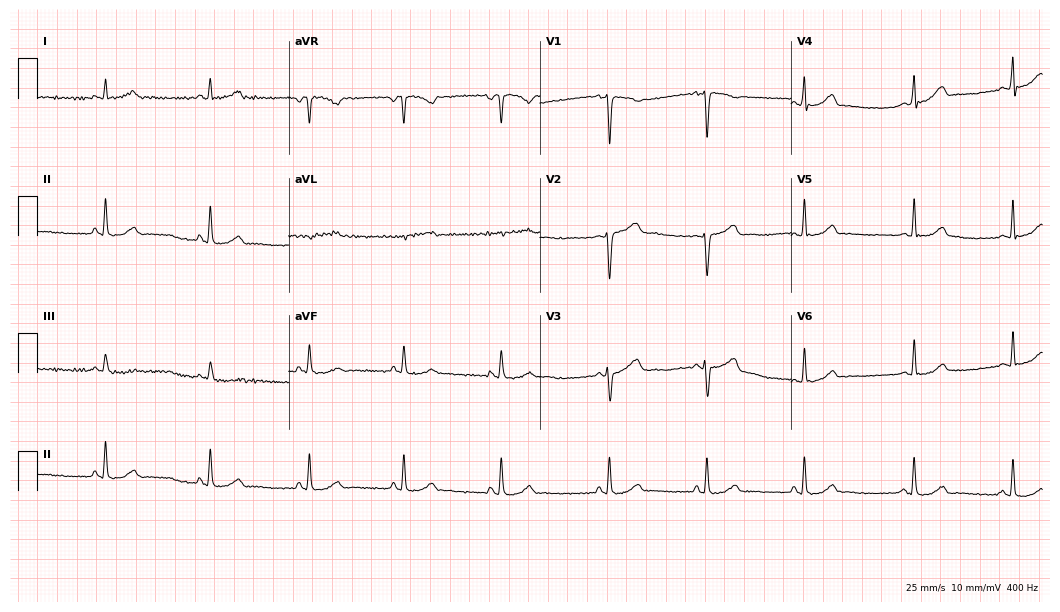
Resting 12-lead electrocardiogram. Patient: a female, 36 years old. None of these six findings is recorded: first-degree AV block, right bundle branch block, left bundle branch block, sinus bradycardia, atrial fibrillation, sinus tachycardia.